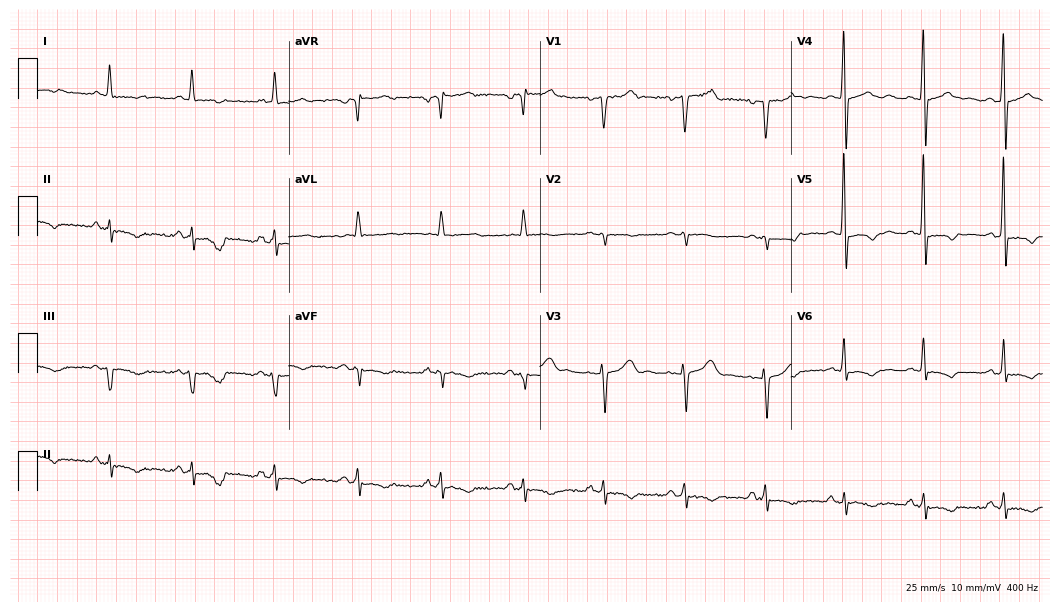
Resting 12-lead electrocardiogram (10.2-second recording at 400 Hz). Patient: a 71-year-old man. None of these six findings is recorded: first-degree AV block, right bundle branch block, left bundle branch block, sinus bradycardia, atrial fibrillation, sinus tachycardia. Other findings, if any, are not listed.